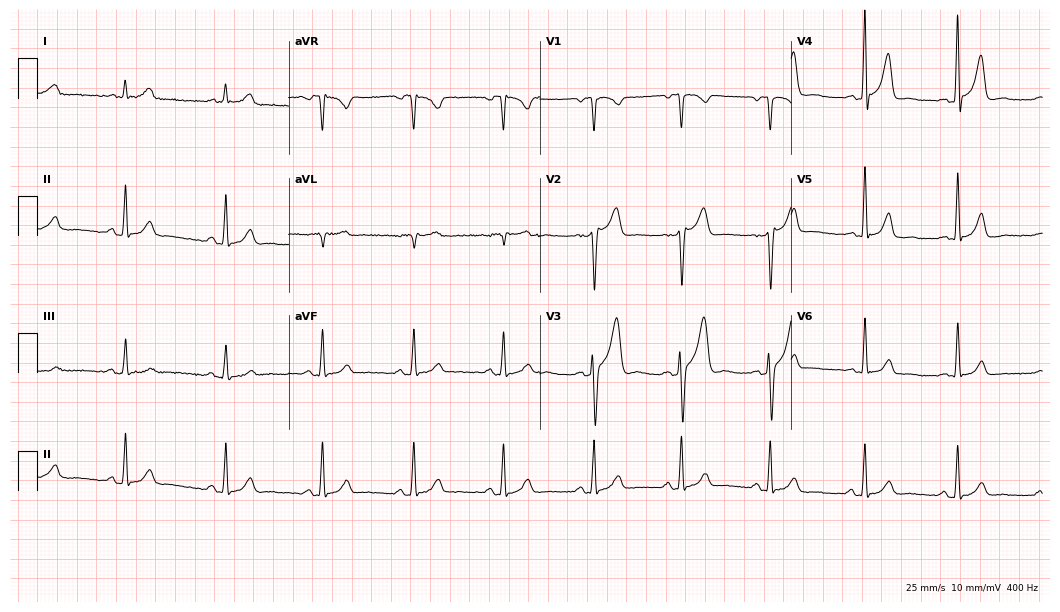
ECG (10.2-second recording at 400 Hz) — a 45-year-old male. Labelled as a normal ECG.